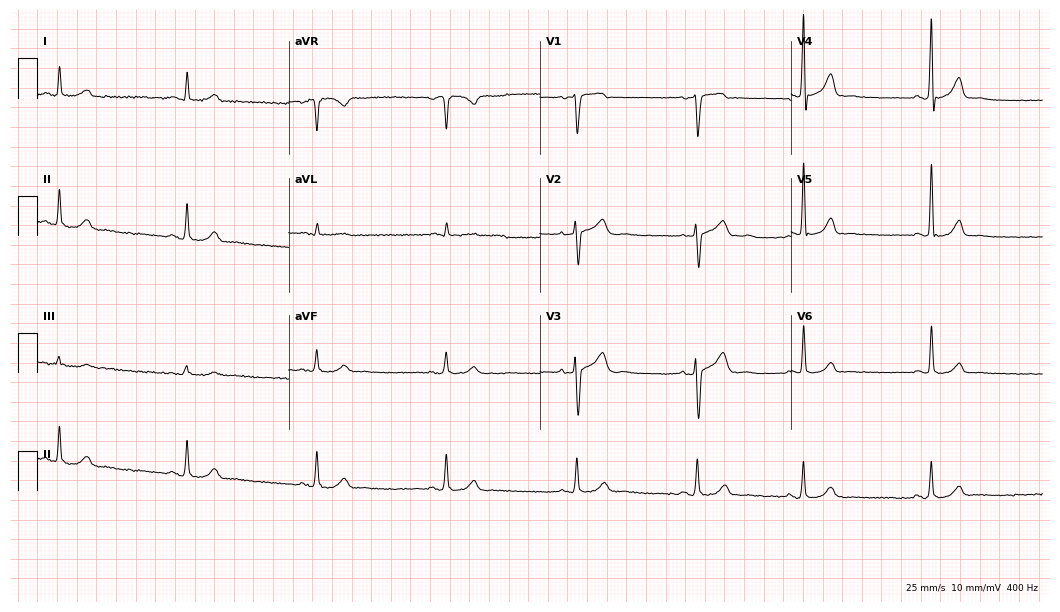
12-lead ECG from a male, 74 years old (10.2-second recording at 400 Hz). Shows sinus bradycardia (a sinus rate of 50 beats per minute or less).